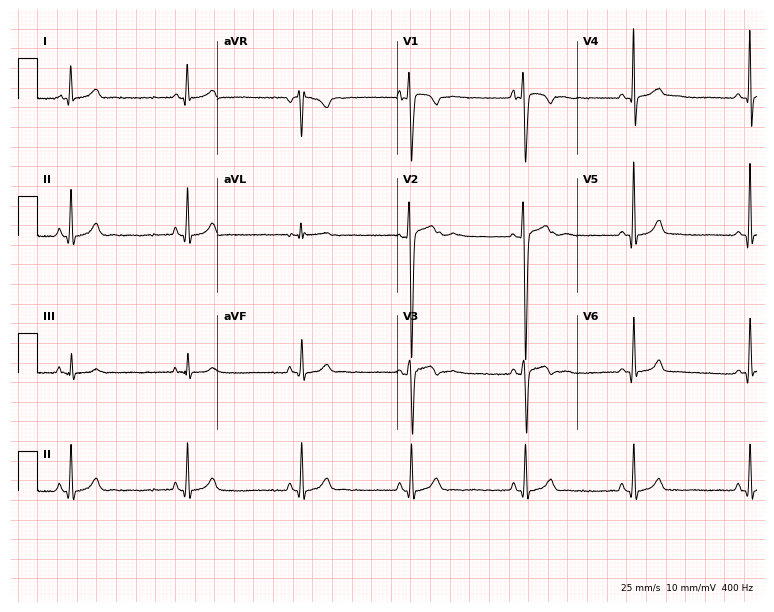
12-lead ECG (7.3-second recording at 400 Hz) from a man, 17 years old. Labelled as a normal ECG.